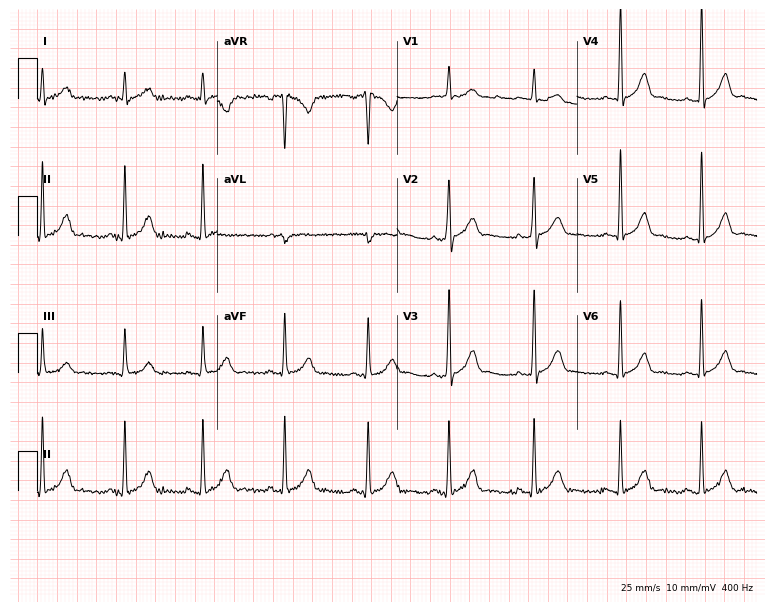
12-lead ECG from a man, 24 years old. Labelled as a normal ECG.